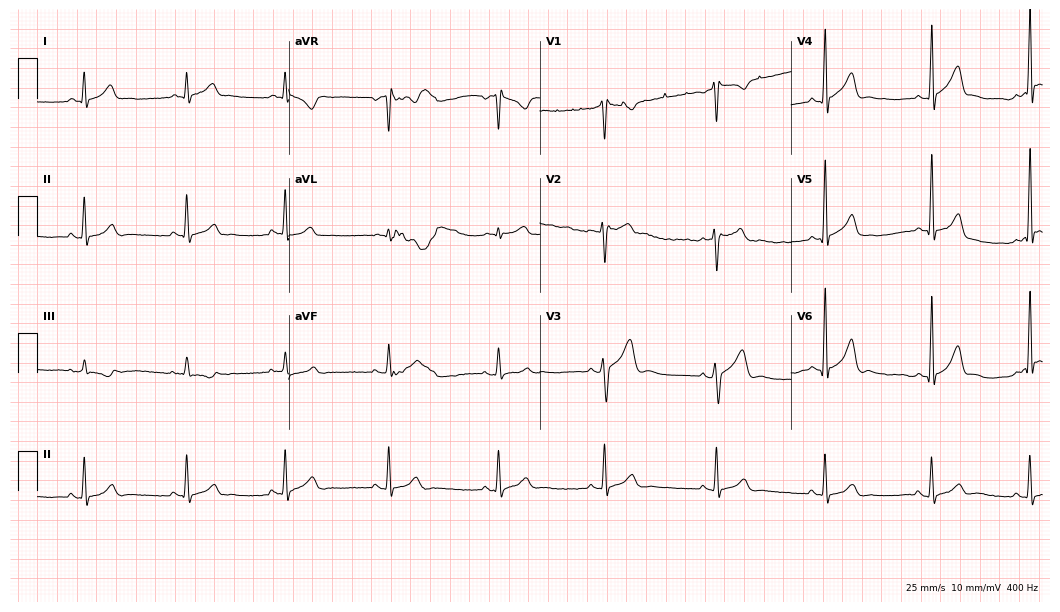
12-lead ECG from a male, 45 years old. Labelled as a normal ECG.